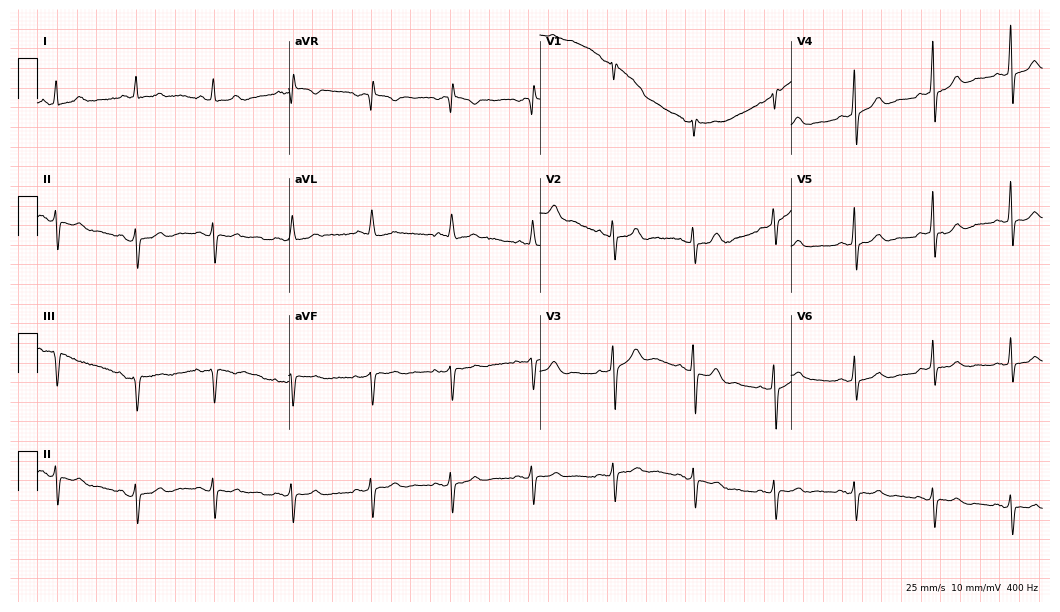
Electrocardiogram, a 46-year-old woman. Of the six screened findings (first-degree AV block, right bundle branch block, left bundle branch block, sinus bradycardia, atrial fibrillation, sinus tachycardia), none is recorded. Only these six findings were labelled.